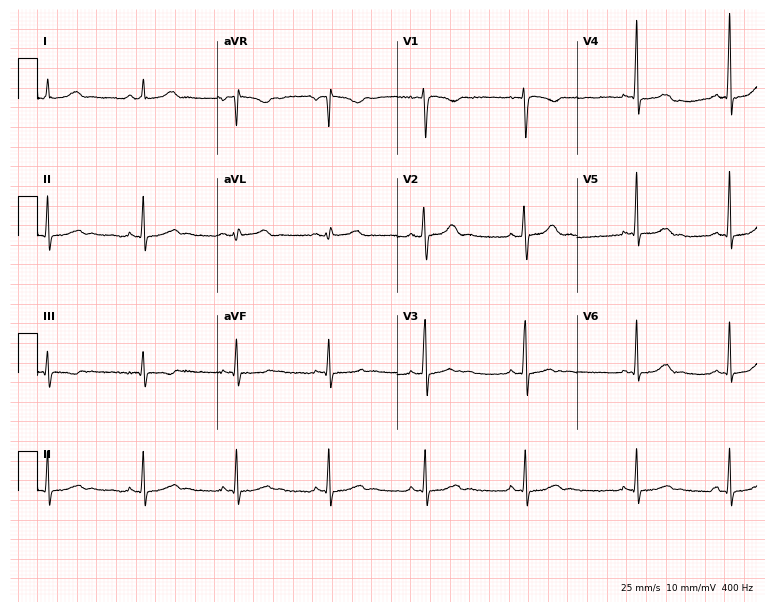
ECG — a 17-year-old female. Screened for six findings — first-degree AV block, right bundle branch block (RBBB), left bundle branch block (LBBB), sinus bradycardia, atrial fibrillation (AF), sinus tachycardia — none is recorded. Other findings, if any, are not listed.